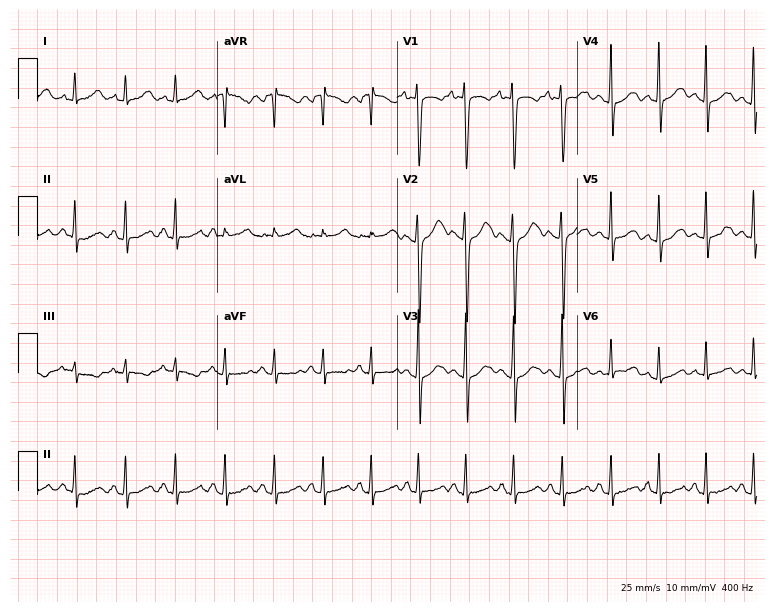
ECG — a 20-year-old female patient. Findings include sinus tachycardia (a sinus rate of 100 beats per minute or more).